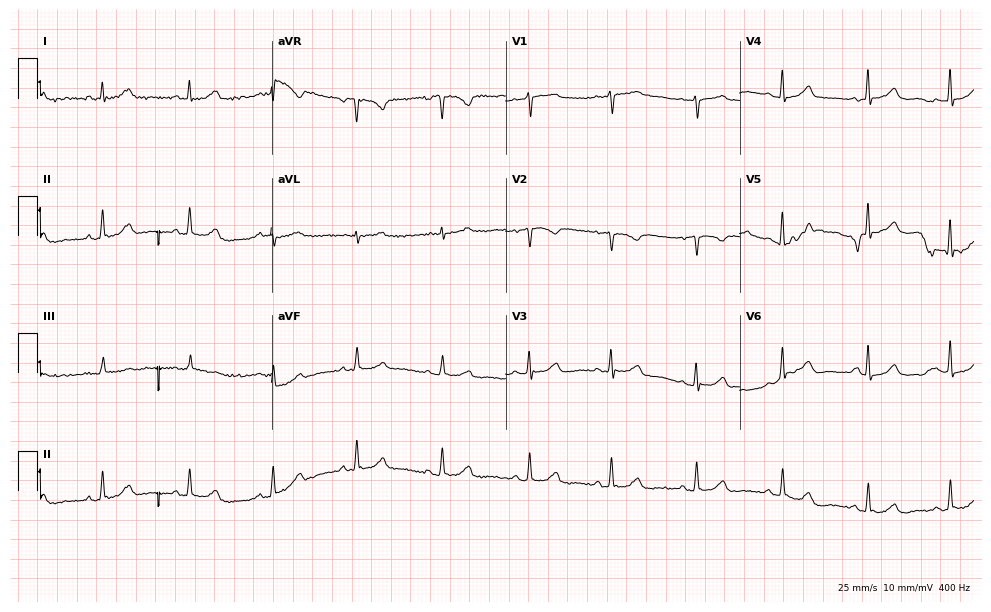
12-lead ECG (9.5-second recording at 400 Hz) from a 59-year-old female patient. Labelled as a normal ECG.